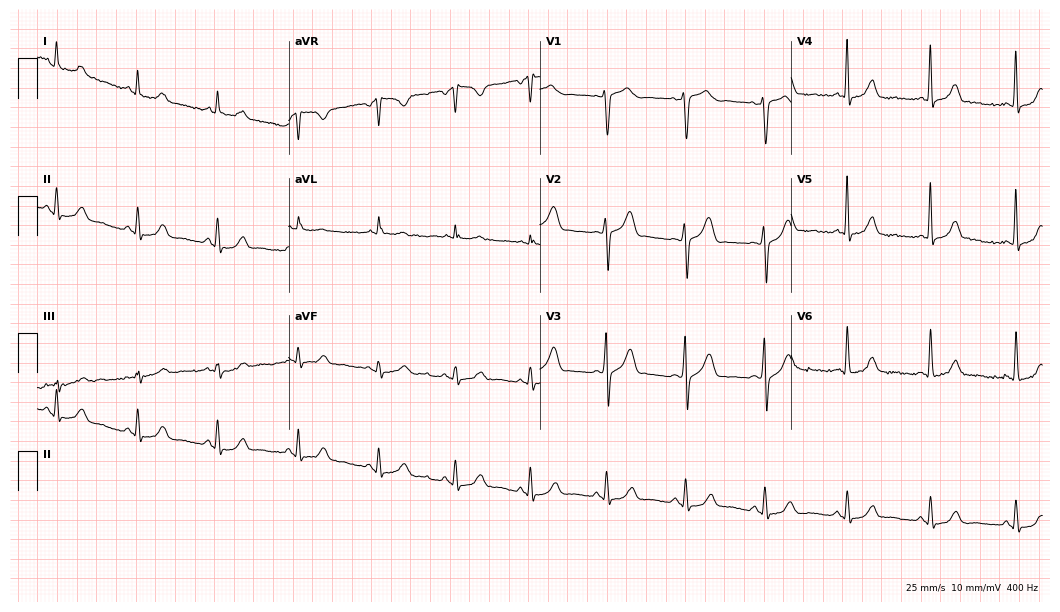
Electrocardiogram (10.2-second recording at 400 Hz), a female, 68 years old. Overall reading on record: normal ECG.